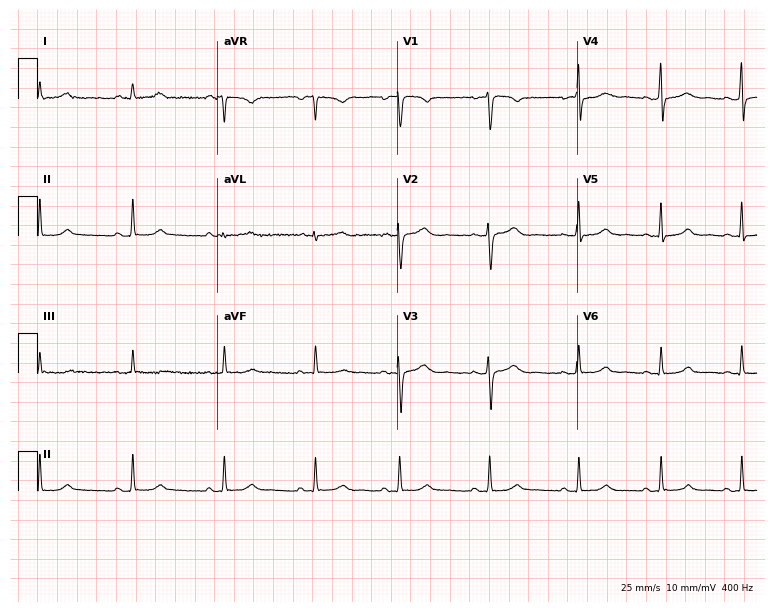
Electrocardiogram (7.3-second recording at 400 Hz), a 30-year-old female patient. Of the six screened findings (first-degree AV block, right bundle branch block (RBBB), left bundle branch block (LBBB), sinus bradycardia, atrial fibrillation (AF), sinus tachycardia), none is recorded. Only these six findings were labelled.